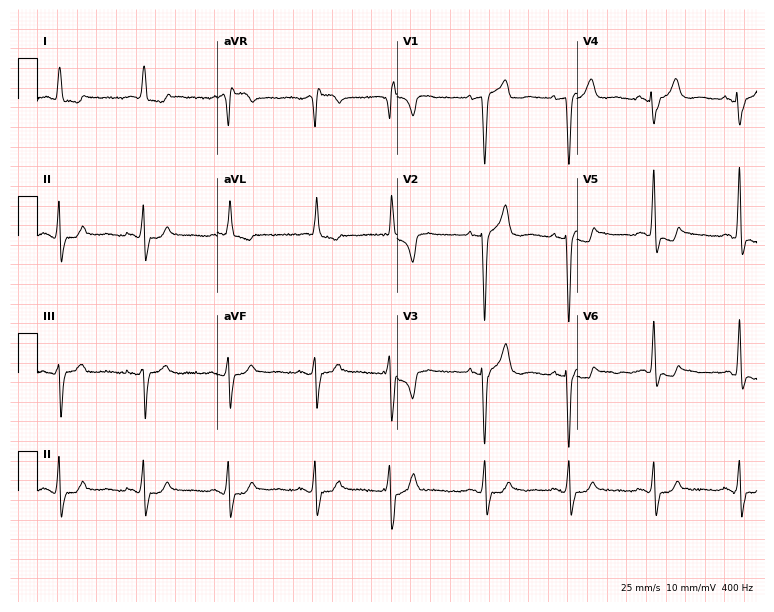
Electrocardiogram, an 82-year-old woman. Interpretation includes left bundle branch block (LBBB).